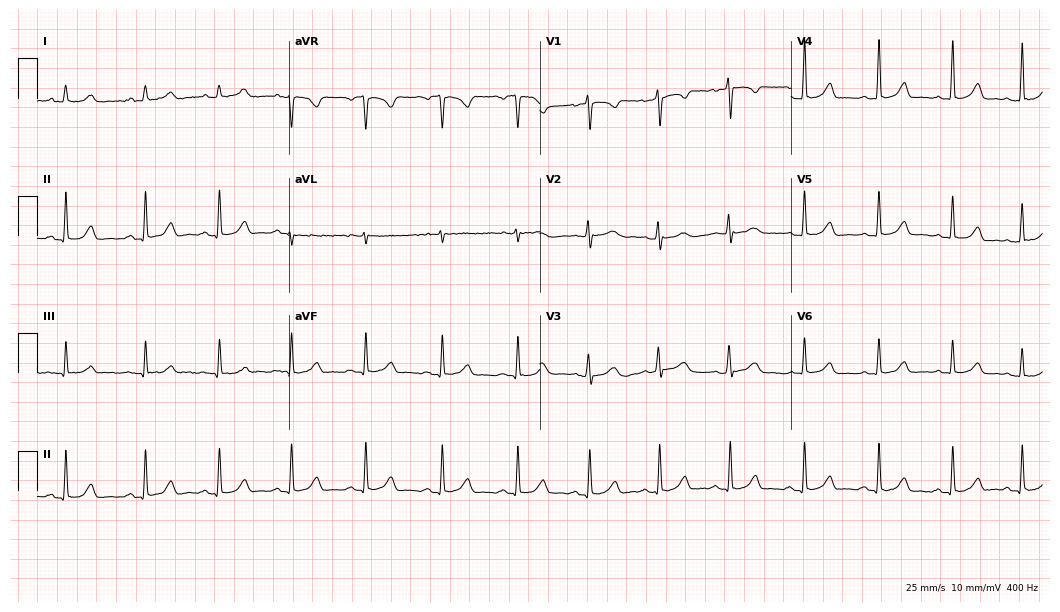
12-lead ECG from a female, 27 years old. Labelled as a normal ECG.